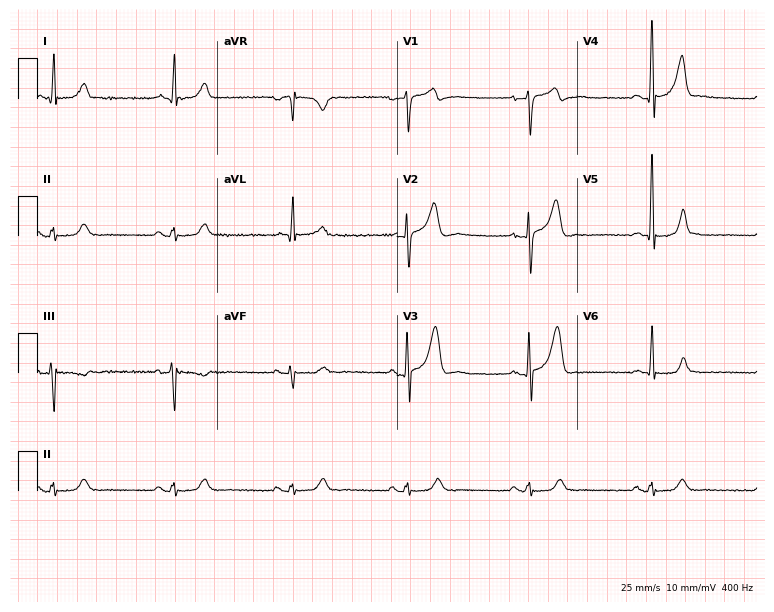
ECG — a 53-year-old male. Screened for six findings — first-degree AV block, right bundle branch block (RBBB), left bundle branch block (LBBB), sinus bradycardia, atrial fibrillation (AF), sinus tachycardia — none is recorded.